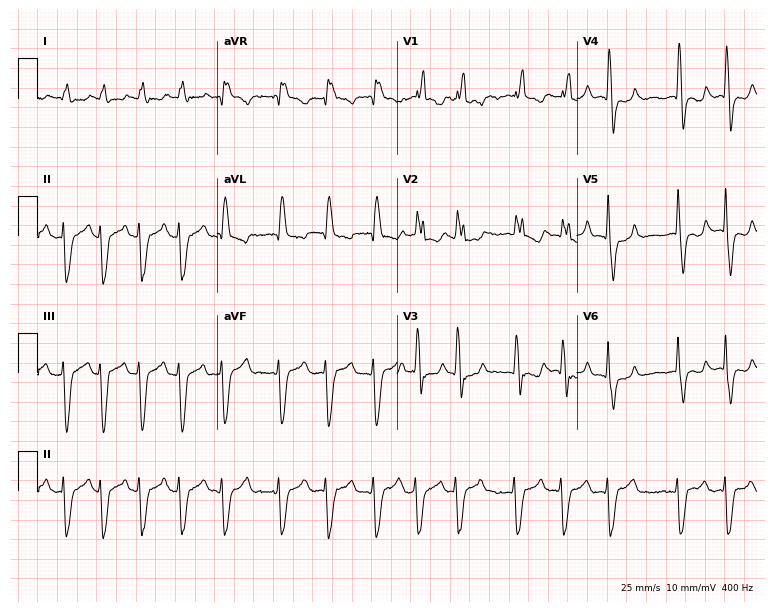
ECG — an 82-year-old male. Findings include right bundle branch block, atrial fibrillation.